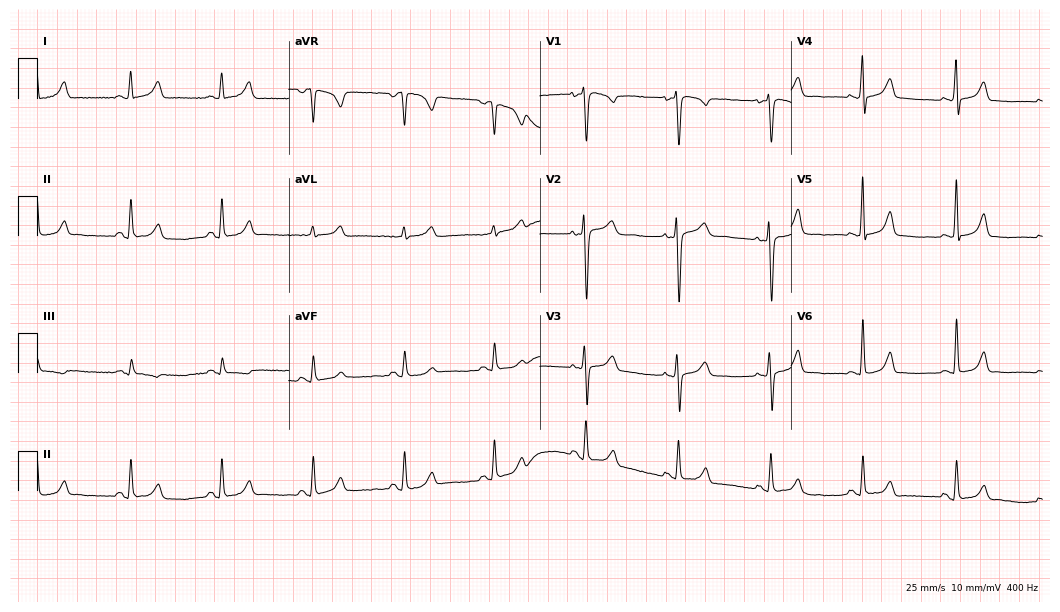
ECG (10.2-second recording at 400 Hz) — a 42-year-old woman. Labelled as a normal ECG.